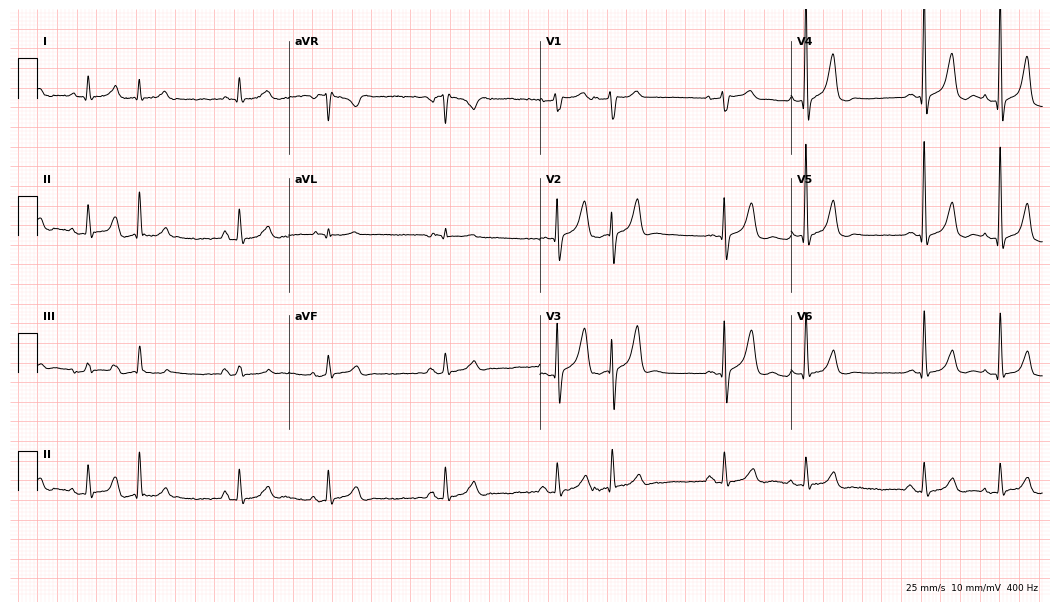
12-lead ECG from a male patient, 82 years old. Screened for six findings — first-degree AV block, right bundle branch block, left bundle branch block, sinus bradycardia, atrial fibrillation, sinus tachycardia — none is recorded.